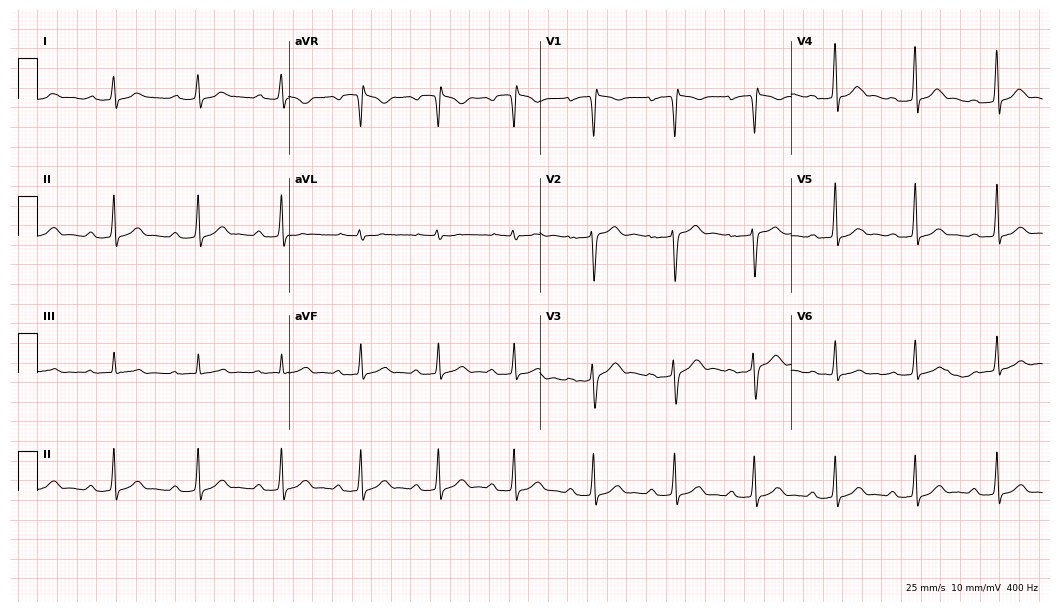
Resting 12-lead electrocardiogram (10.2-second recording at 400 Hz). Patient: a man, 31 years old. The tracing shows first-degree AV block.